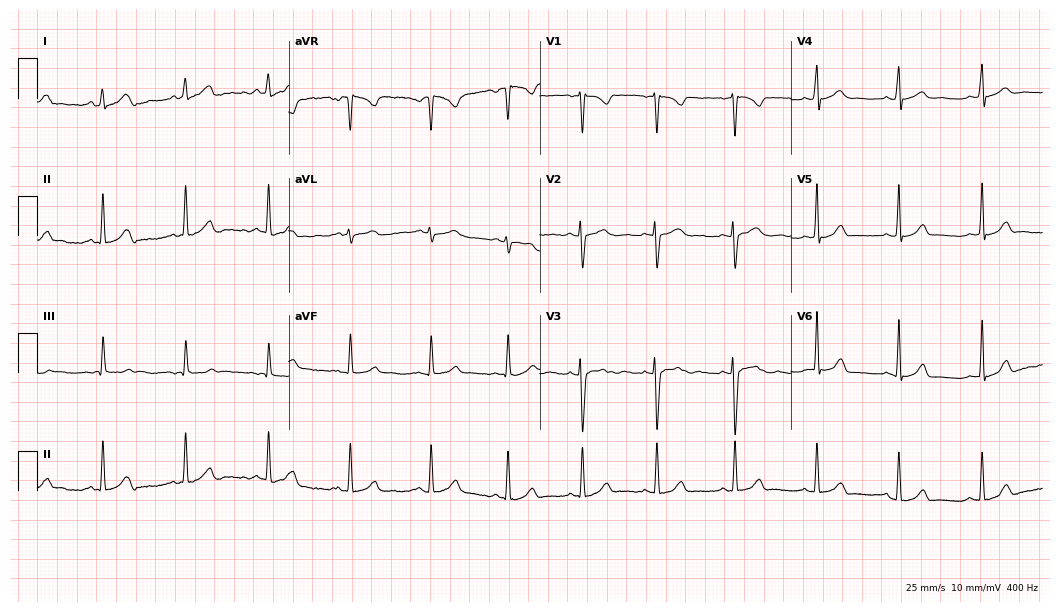
Electrocardiogram, a woman, 20 years old. Overall reading on record: normal ECG.